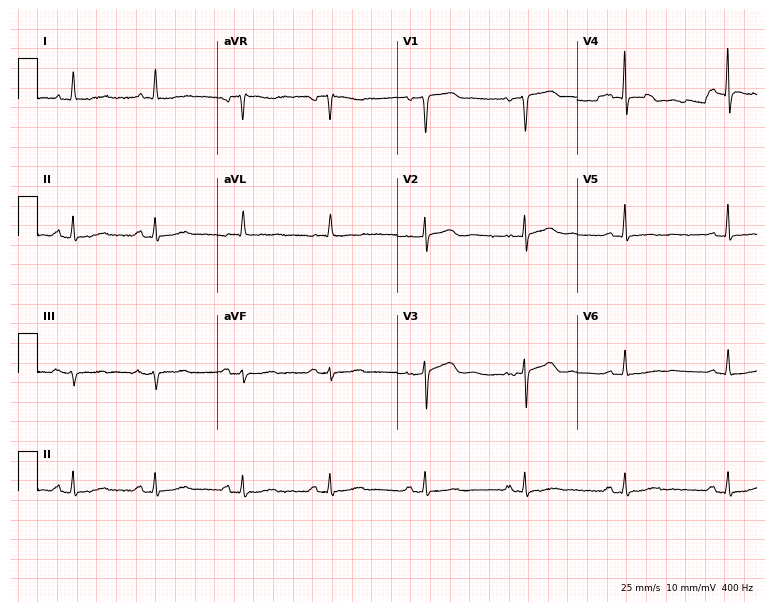
12-lead ECG from a 58-year-old female patient (7.3-second recording at 400 Hz). No first-degree AV block, right bundle branch block, left bundle branch block, sinus bradycardia, atrial fibrillation or sinus tachycardia recorded for this tracing.